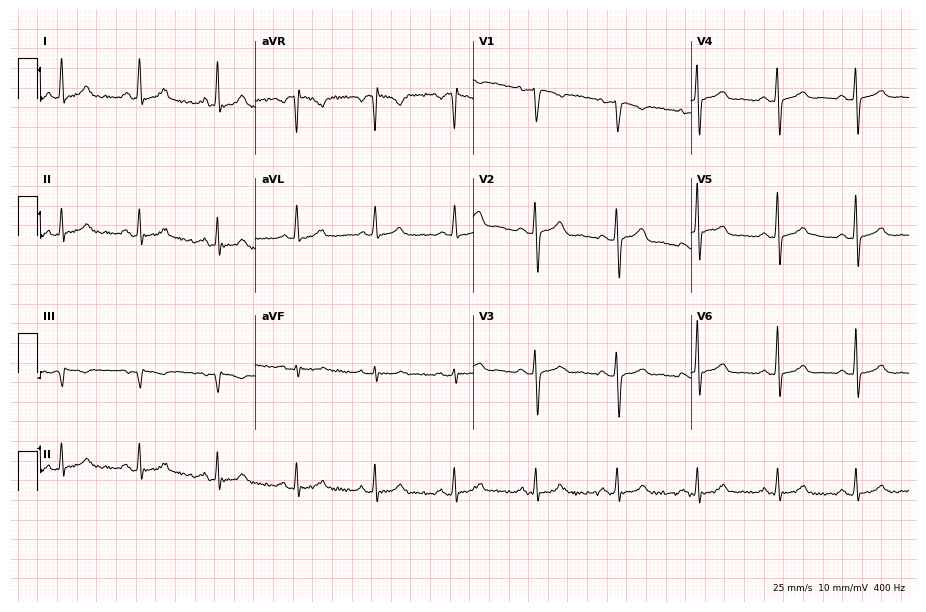
Electrocardiogram (8.9-second recording at 400 Hz), a 43-year-old female patient. Overall reading on record: normal ECG.